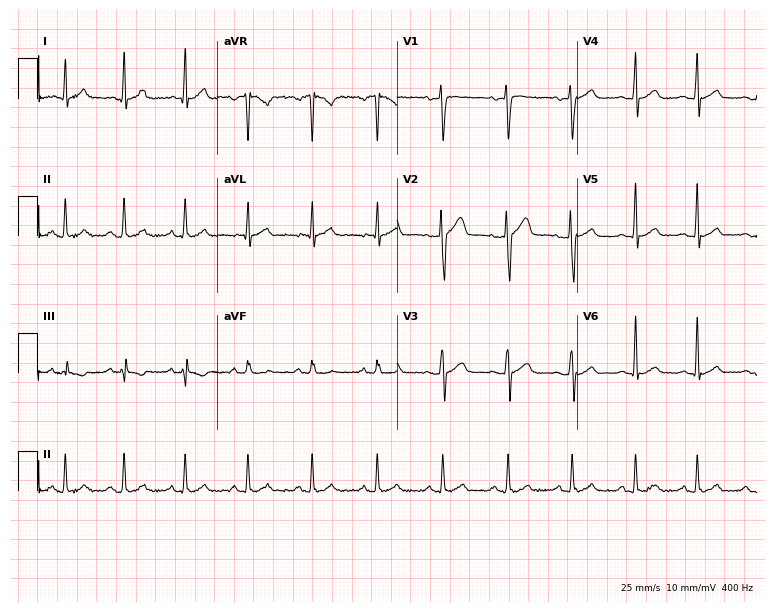
Resting 12-lead electrocardiogram (7.3-second recording at 400 Hz). Patient: a 28-year-old male. None of these six findings is recorded: first-degree AV block, right bundle branch block, left bundle branch block, sinus bradycardia, atrial fibrillation, sinus tachycardia. Other findings, if any, are not listed.